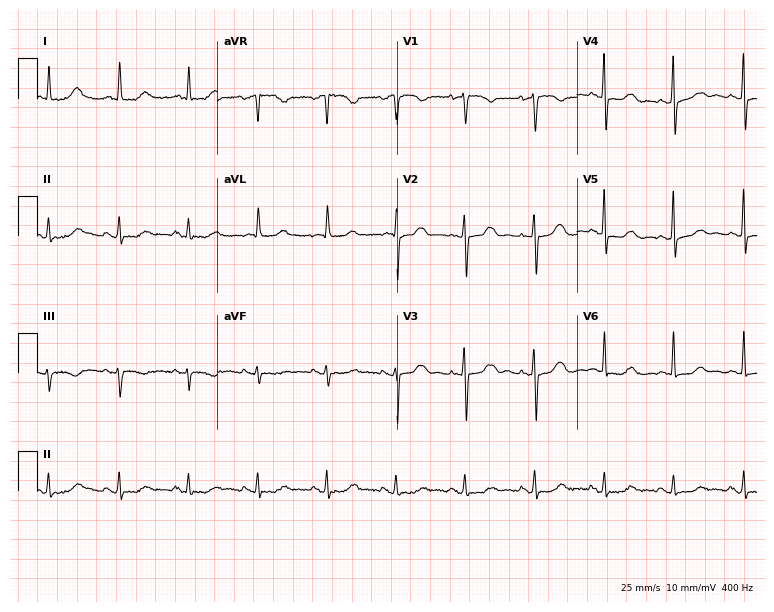
12-lead ECG from an 82-year-old female patient. Labelled as a normal ECG.